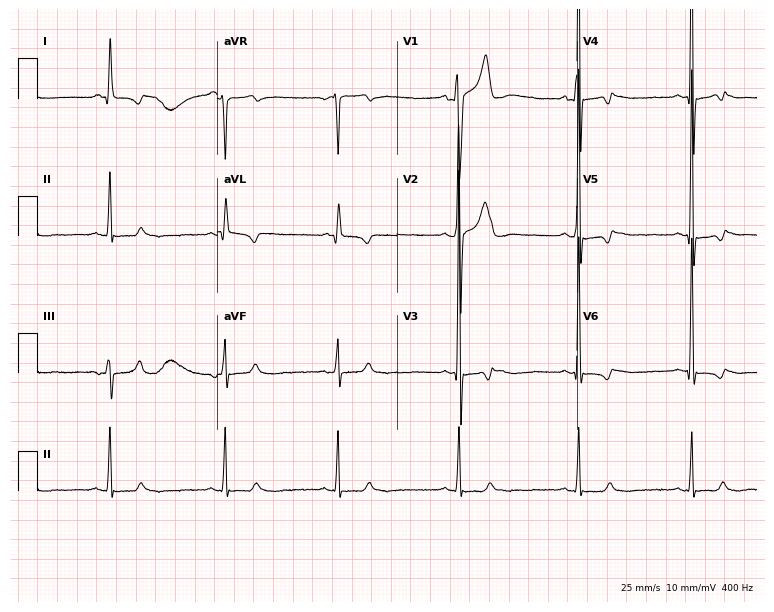
12-lead ECG from a male, 23 years old. No first-degree AV block, right bundle branch block, left bundle branch block, sinus bradycardia, atrial fibrillation or sinus tachycardia recorded for this tracing. Only these six findings were labelled.